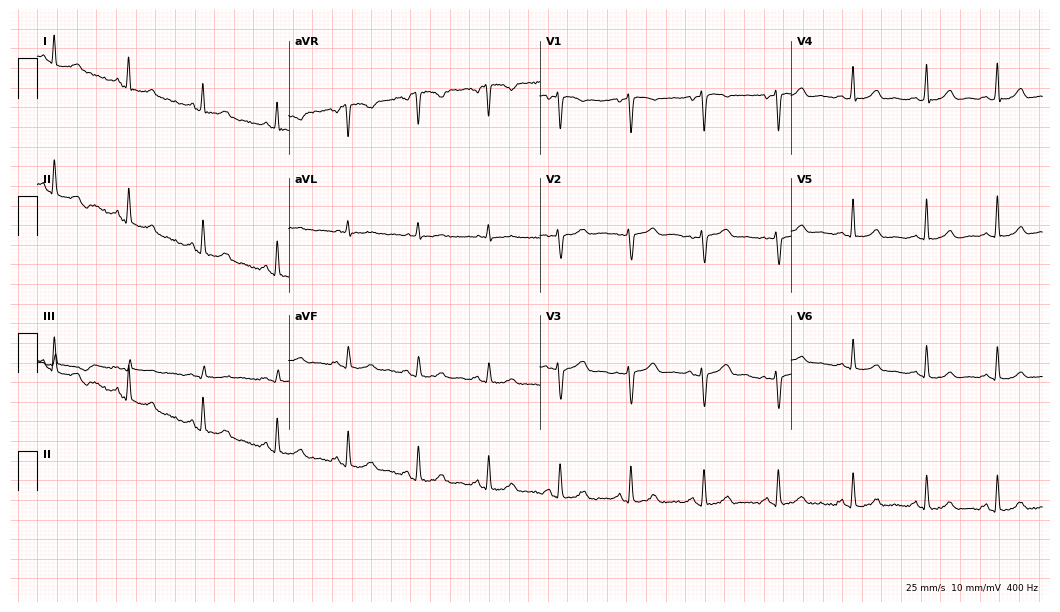
12-lead ECG (10.2-second recording at 400 Hz) from a 33-year-old female. Screened for six findings — first-degree AV block, right bundle branch block, left bundle branch block, sinus bradycardia, atrial fibrillation, sinus tachycardia — none is recorded.